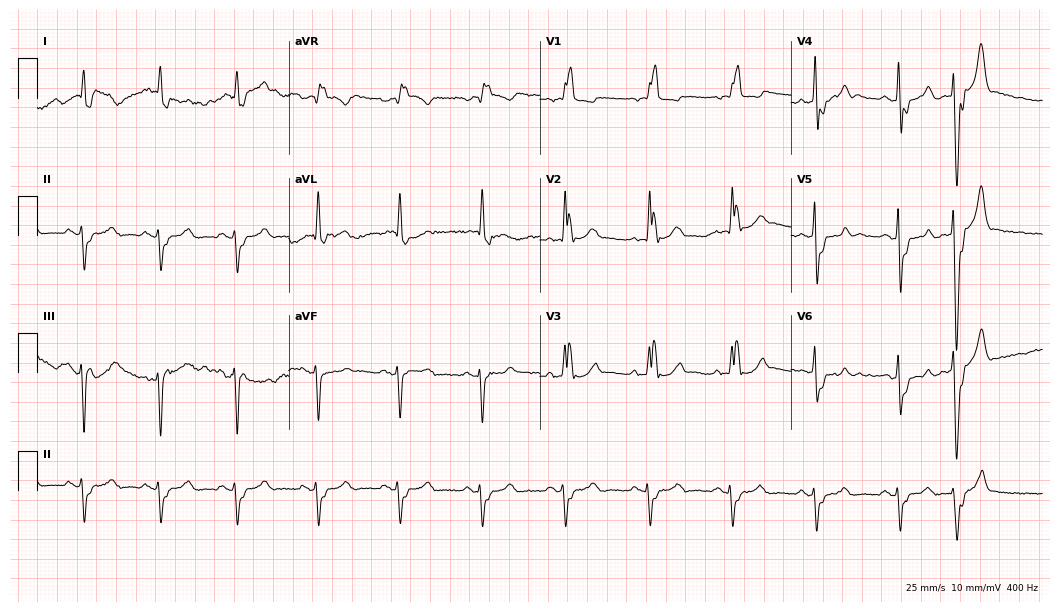
Resting 12-lead electrocardiogram. Patient: a male, 71 years old. The tracing shows right bundle branch block.